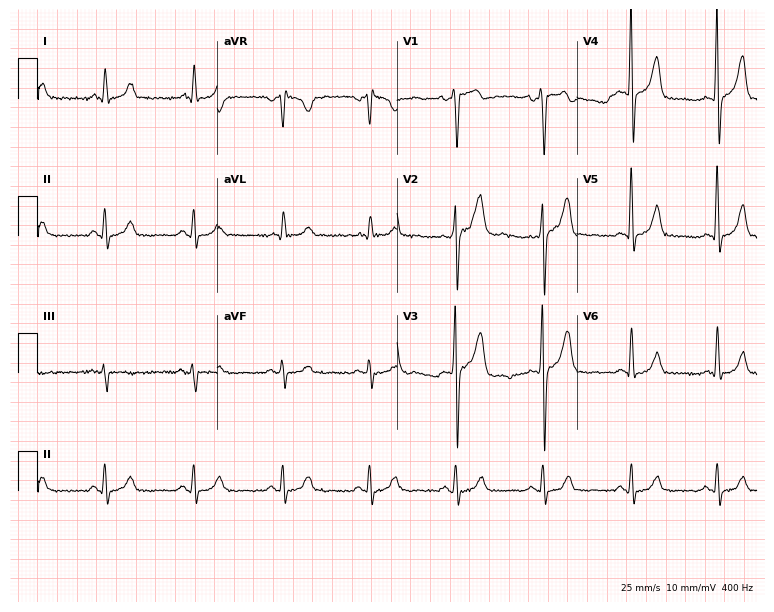
12-lead ECG from a 59-year-old male patient. Screened for six findings — first-degree AV block, right bundle branch block, left bundle branch block, sinus bradycardia, atrial fibrillation, sinus tachycardia — none is recorded.